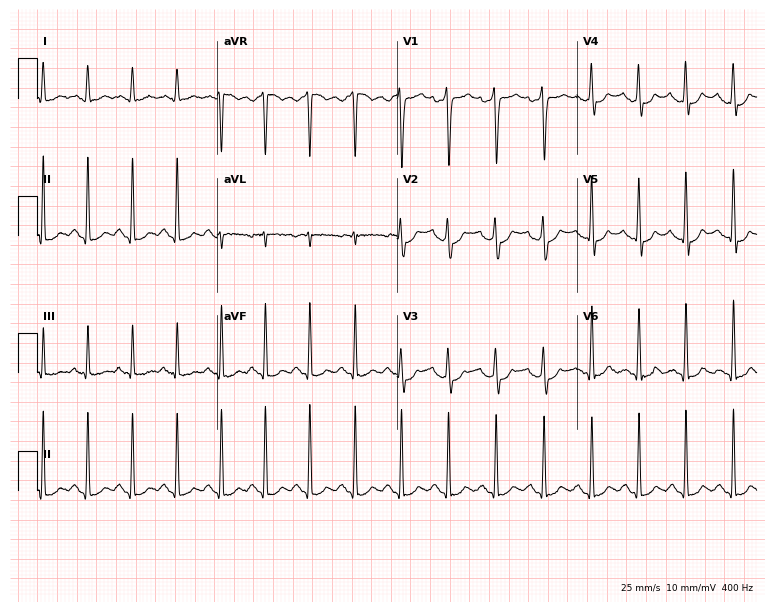
12-lead ECG from a man, 22 years old. Findings include sinus tachycardia (a sinus rate of 100 beats per minute or more).